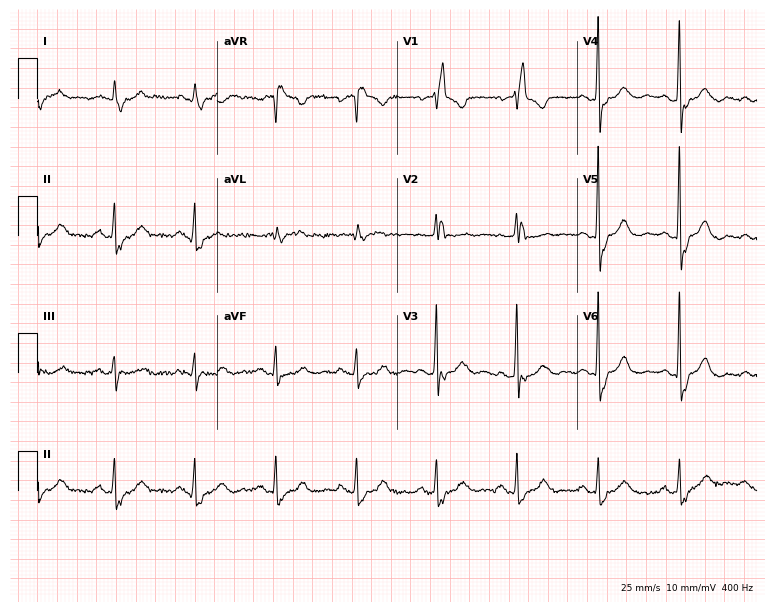
Resting 12-lead electrocardiogram (7.3-second recording at 400 Hz). Patient: a 78-year-old man. The tracing shows right bundle branch block.